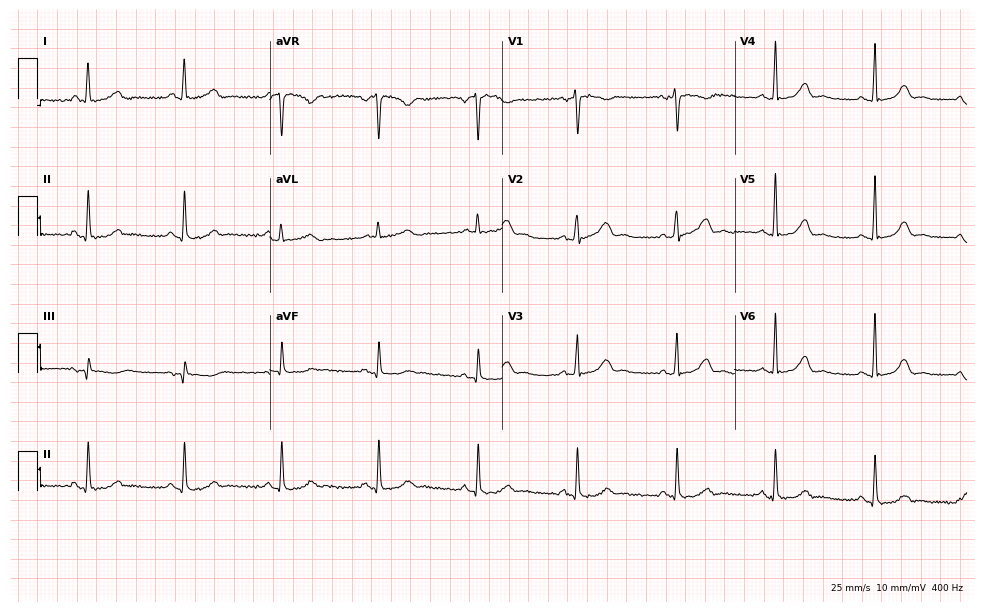
Resting 12-lead electrocardiogram (9.5-second recording at 400 Hz). Patient: a 50-year-old woman. Read as a normal ECG.